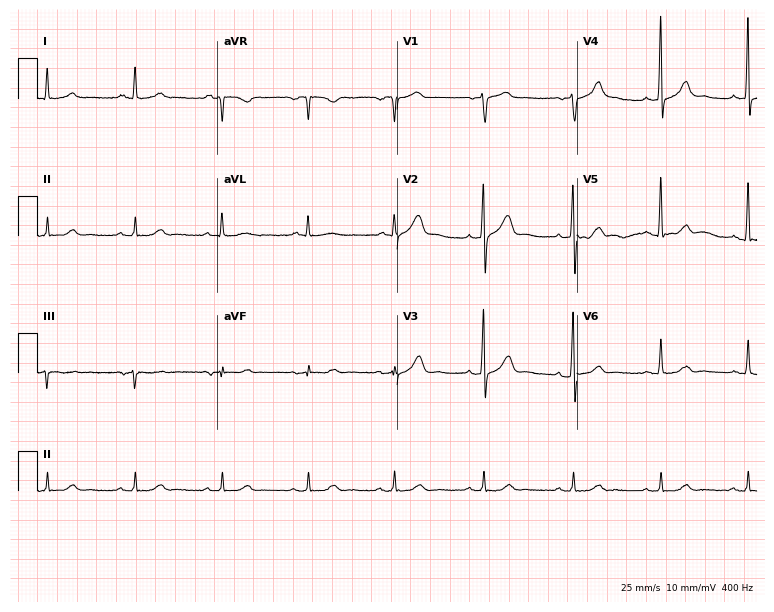
12-lead ECG from a 51-year-old male. Labelled as a normal ECG.